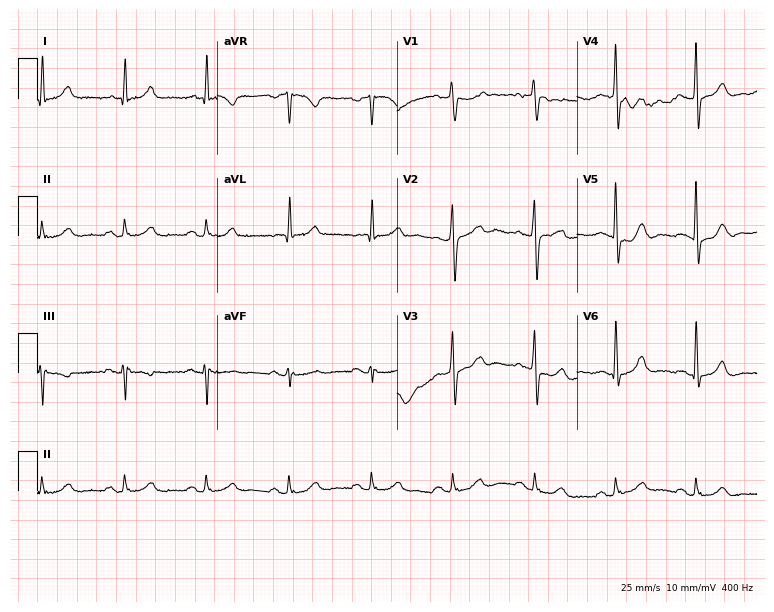
Standard 12-lead ECG recorded from a 56-year-old male patient (7.3-second recording at 400 Hz). Read as a normal ECG.